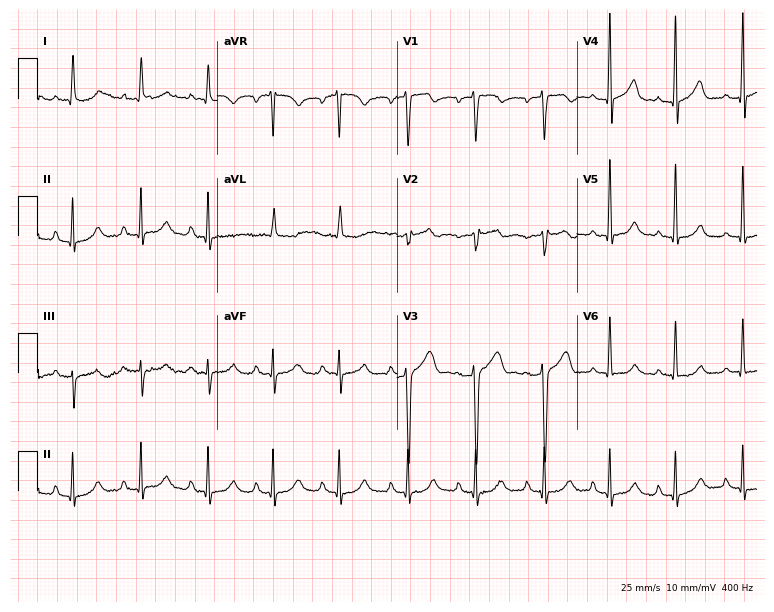
12-lead ECG from a 56-year-old man. Labelled as a normal ECG.